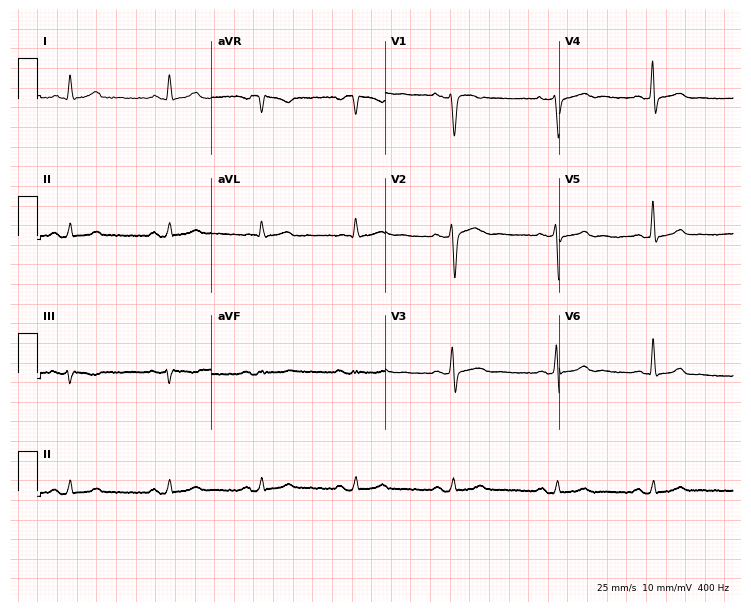
Resting 12-lead electrocardiogram (7.1-second recording at 400 Hz). Patient: a 49-year-old female. None of these six findings is recorded: first-degree AV block, right bundle branch block (RBBB), left bundle branch block (LBBB), sinus bradycardia, atrial fibrillation (AF), sinus tachycardia.